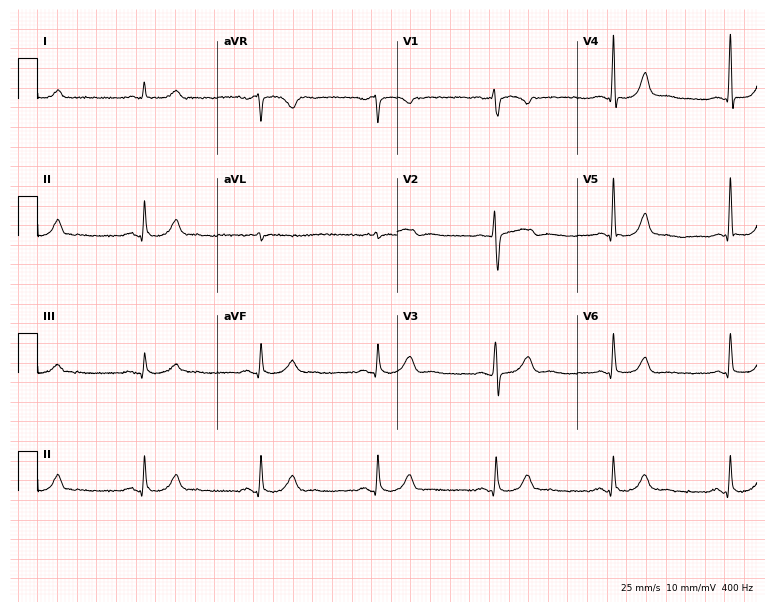
ECG (7.3-second recording at 400 Hz) — a male, 71 years old. Labelled as a normal ECG.